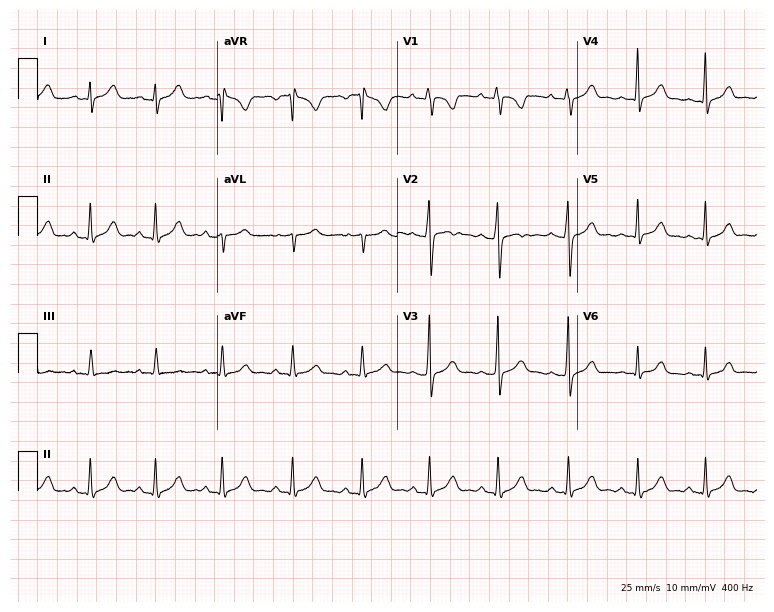
Resting 12-lead electrocardiogram (7.3-second recording at 400 Hz). Patient: an 18-year-old woman. None of these six findings is recorded: first-degree AV block, right bundle branch block, left bundle branch block, sinus bradycardia, atrial fibrillation, sinus tachycardia. Findings outside these six are not listed.